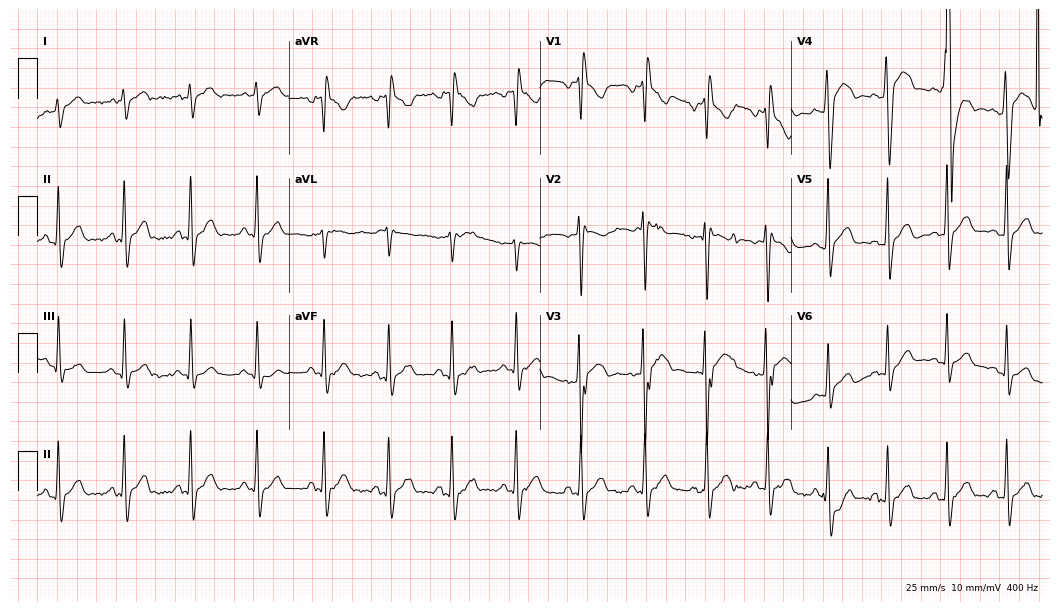
ECG — a 22-year-old male. Screened for six findings — first-degree AV block, right bundle branch block, left bundle branch block, sinus bradycardia, atrial fibrillation, sinus tachycardia — none is recorded.